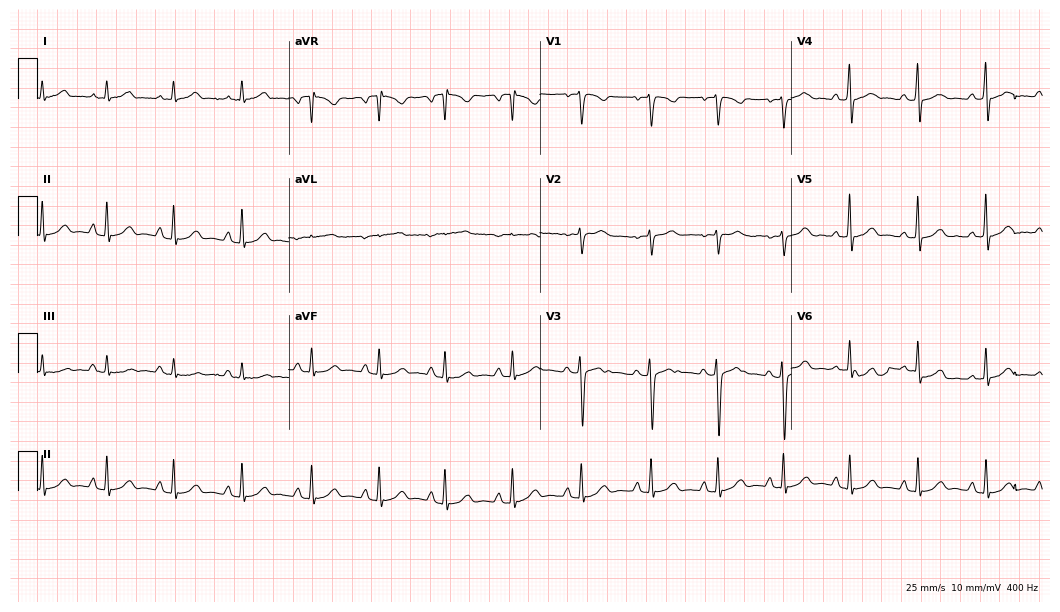
Electrocardiogram (10.2-second recording at 400 Hz), a 34-year-old female patient. Overall reading on record: normal ECG.